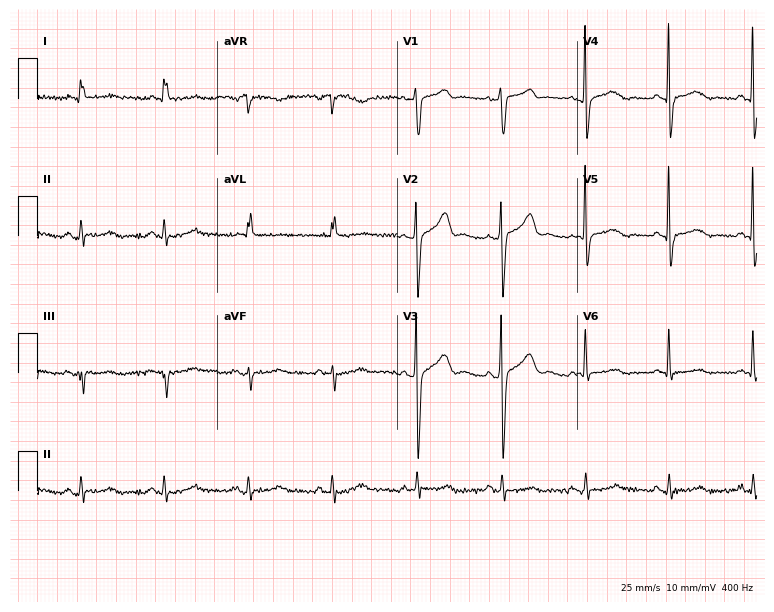
Standard 12-lead ECG recorded from a male, 64 years old (7.3-second recording at 400 Hz). None of these six findings is recorded: first-degree AV block, right bundle branch block (RBBB), left bundle branch block (LBBB), sinus bradycardia, atrial fibrillation (AF), sinus tachycardia. Other findings, if any, are not listed.